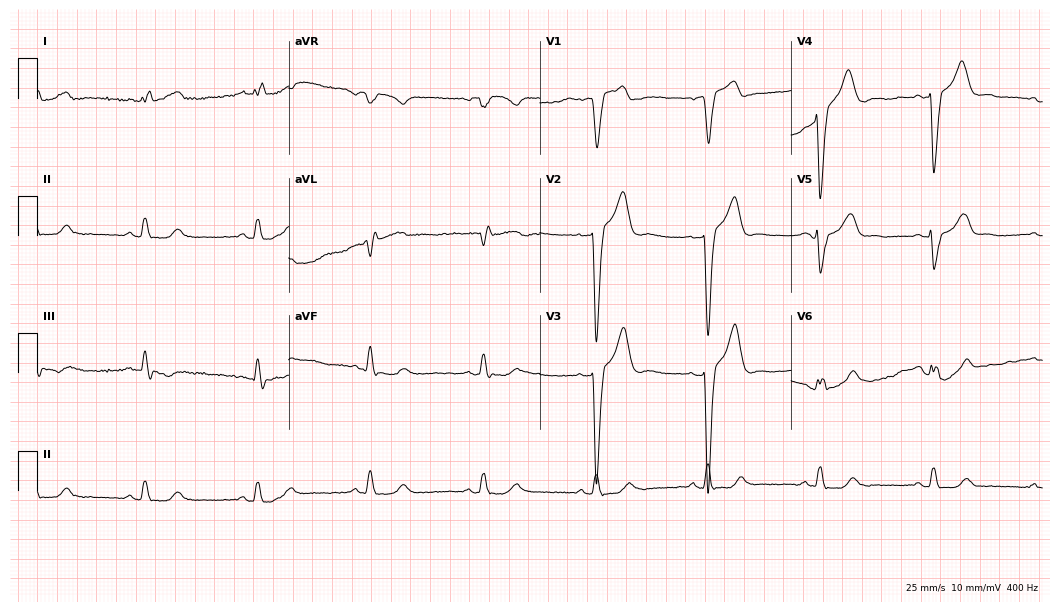
Standard 12-lead ECG recorded from a man, 61 years old (10.2-second recording at 400 Hz). The tracing shows left bundle branch block (LBBB).